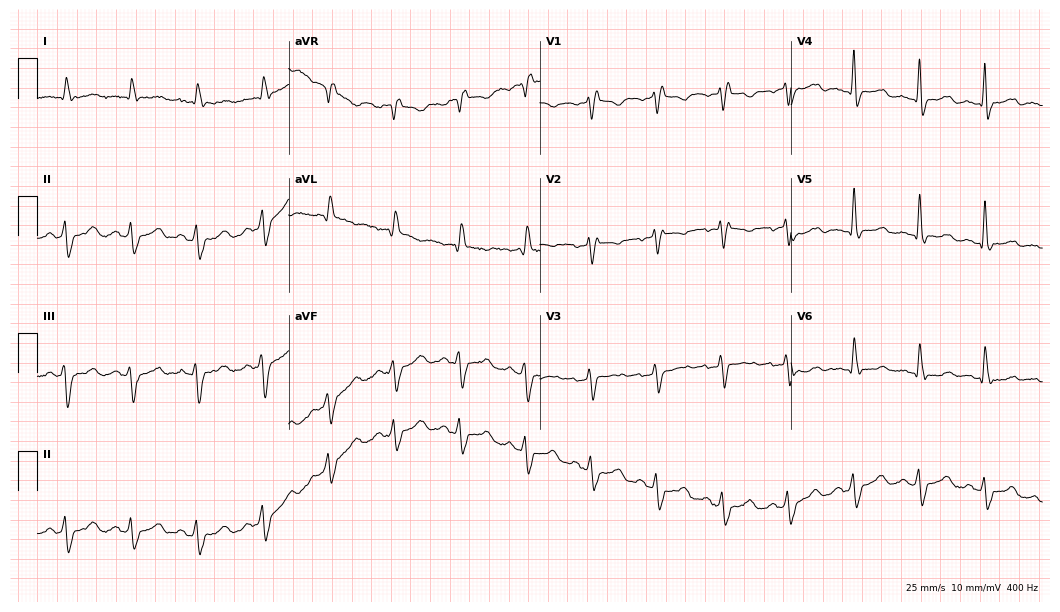
12-lead ECG from a female, 82 years old (10.2-second recording at 400 Hz). Shows right bundle branch block.